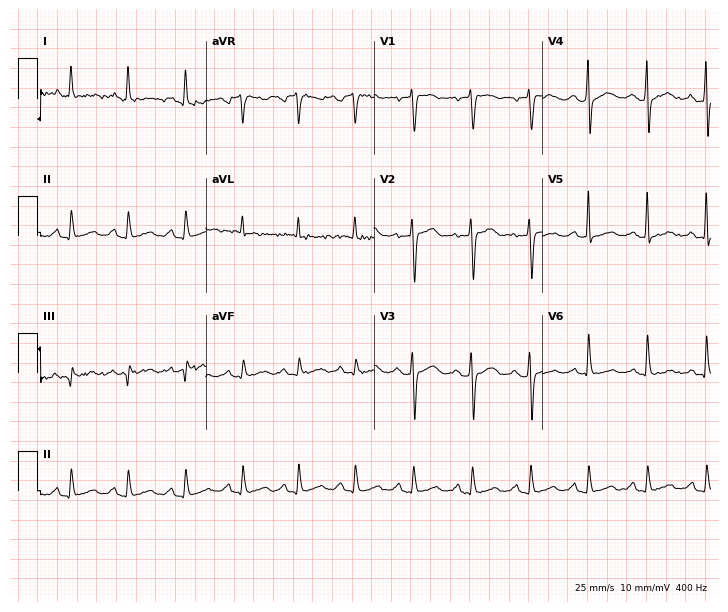
Electrocardiogram (6.9-second recording at 400 Hz), a 45-year-old woman. Of the six screened findings (first-degree AV block, right bundle branch block, left bundle branch block, sinus bradycardia, atrial fibrillation, sinus tachycardia), none is recorded.